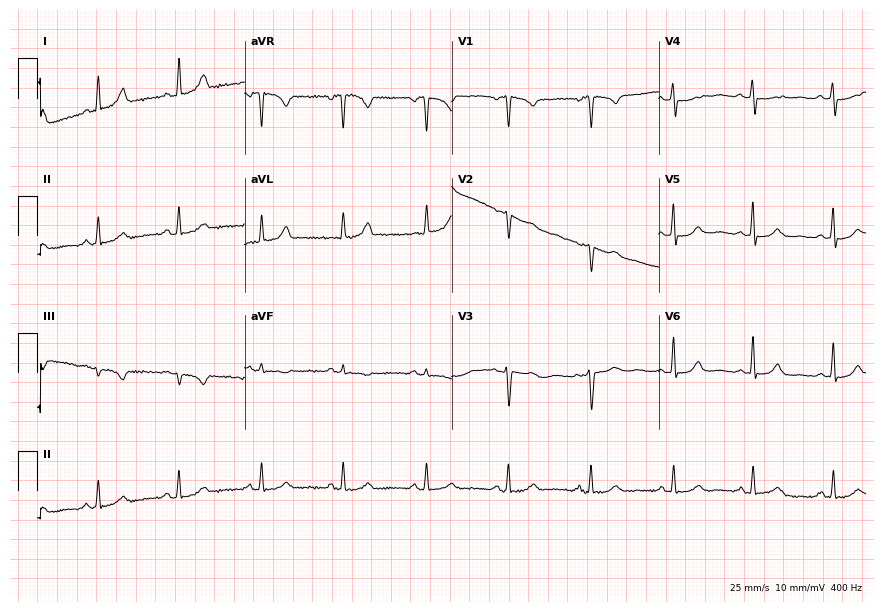
12-lead ECG (8.4-second recording at 400 Hz) from a 55-year-old female patient. Labelled as a normal ECG.